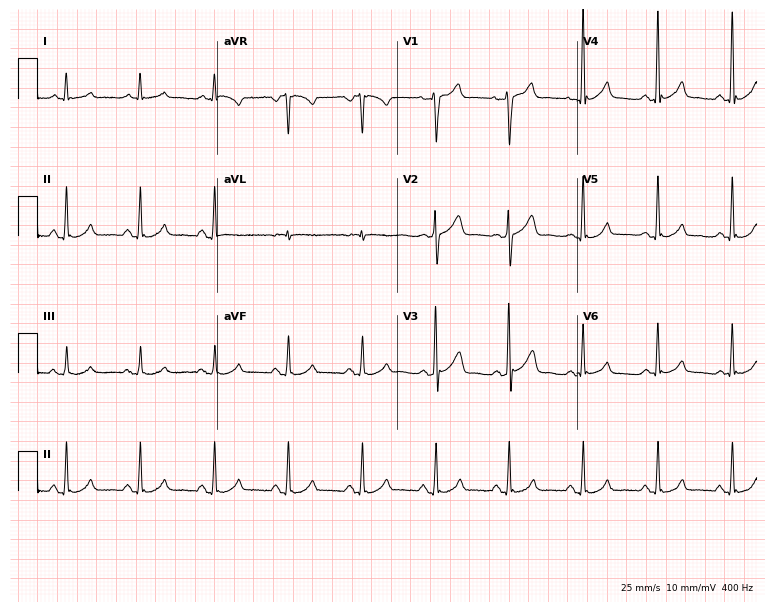
Resting 12-lead electrocardiogram (7.3-second recording at 400 Hz). Patient: a male, 53 years old. Read as a normal ECG.